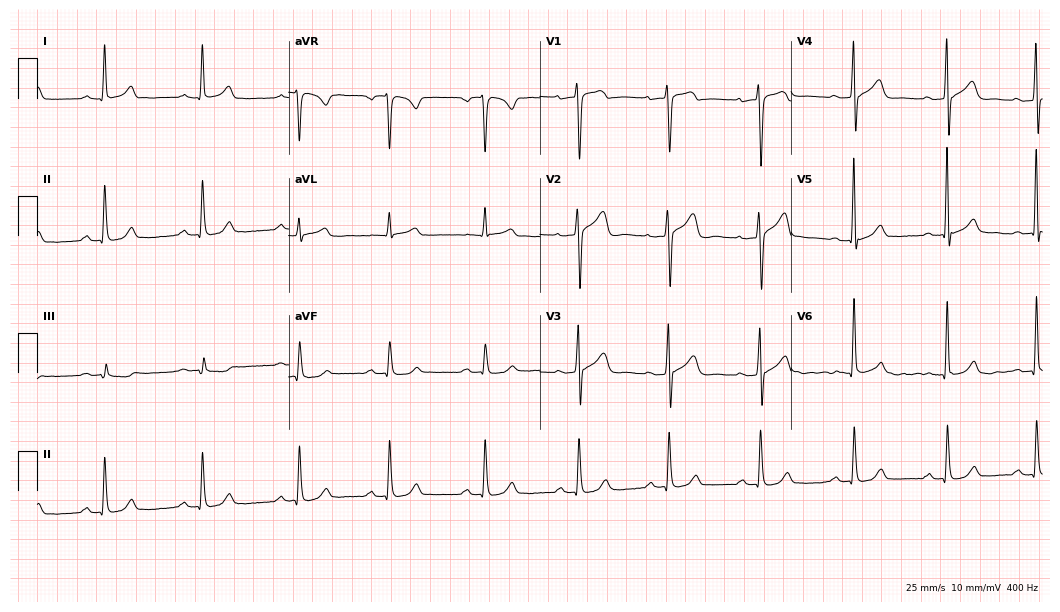
12-lead ECG from a 32-year-old male patient. Labelled as a normal ECG.